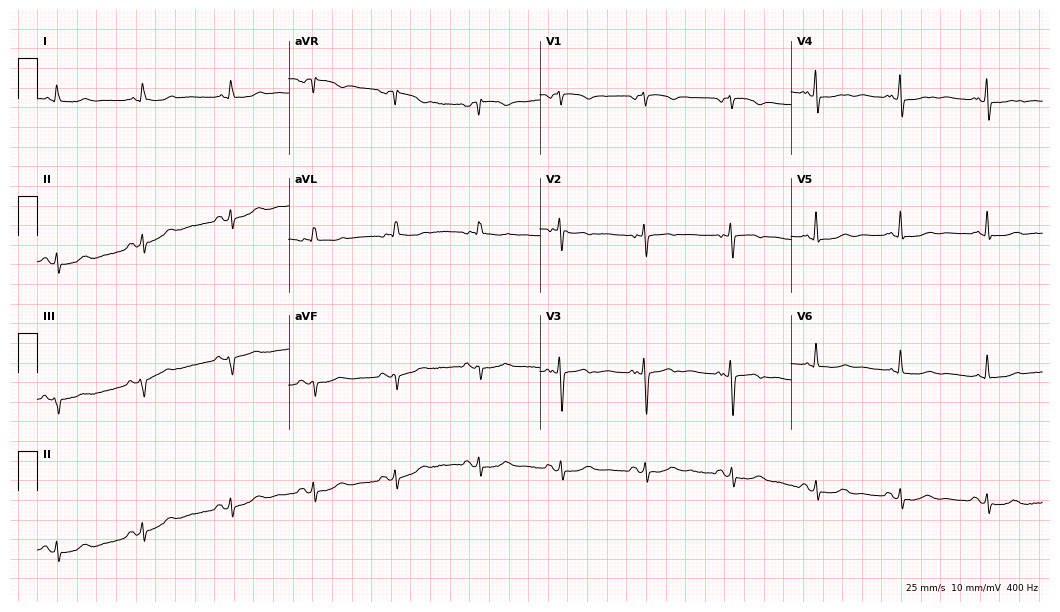
ECG (10.2-second recording at 400 Hz) — a 77-year-old female patient. Screened for six findings — first-degree AV block, right bundle branch block (RBBB), left bundle branch block (LBBB), sinus bradycardia, atrial fibrillation (AF), sinus tachycardia — none is recorded. Other findings, if any, are not listed.